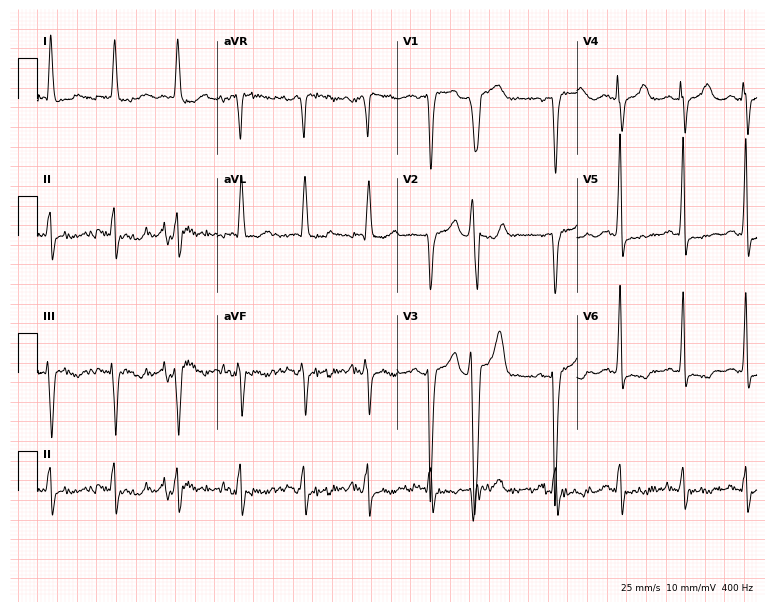
Resting 12-lead electrocardiogram (7.3-second recording at 400 Hz). Patient: an 83-year-old female. None of these six findings is recorded: first-degree AV block, right bundle branch block, left bundle branch block, sinus bradycardia, atrial fibrillation, sinus tachycardia. Only these six findings were labelled.